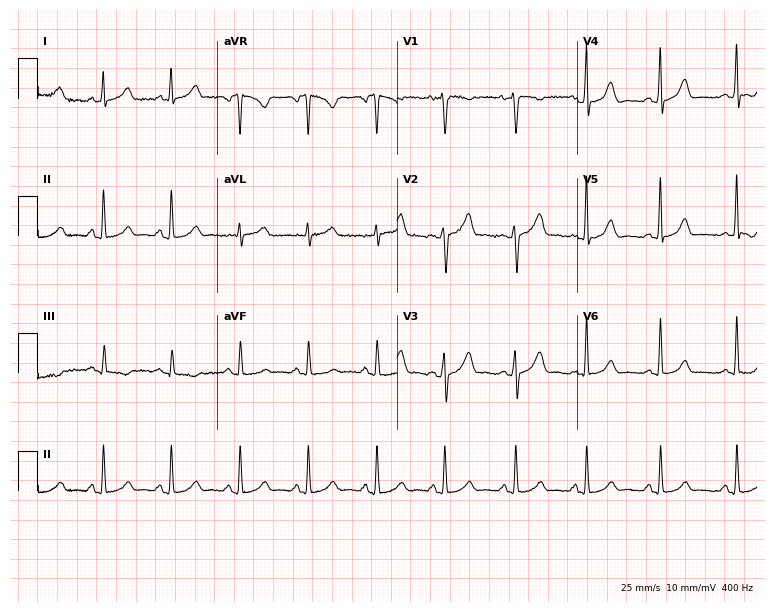
12-lead ECG from a female patient, 34 years old (7.3-second recording at 400 Hz). Recorded interpretation: within normal limits.